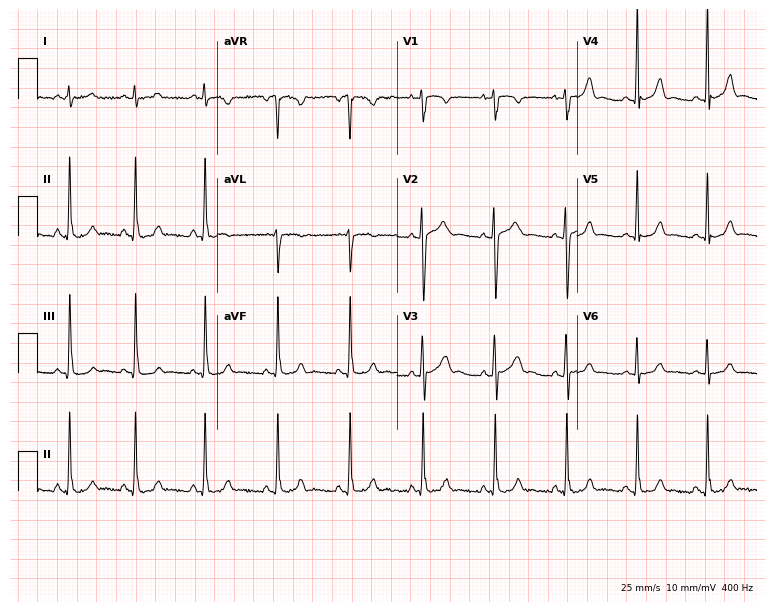
Resting 12-lead electrocardiogram. Patient: a 25-year-old woman. Read as a normal ECG.